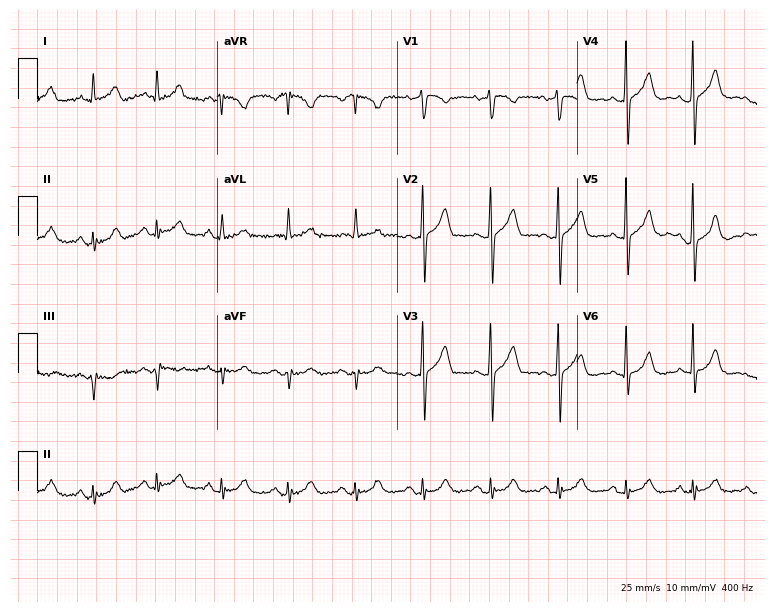
Electrocardiogram (7.3-second recording at 400 Hz), a male, 56 years old. Of the six screened findings (first-degree AV block, right bundle branch block, left bundle branch block, sinus bradycardia, atrial fibrillation, sinus tachycardia), none is recorded.